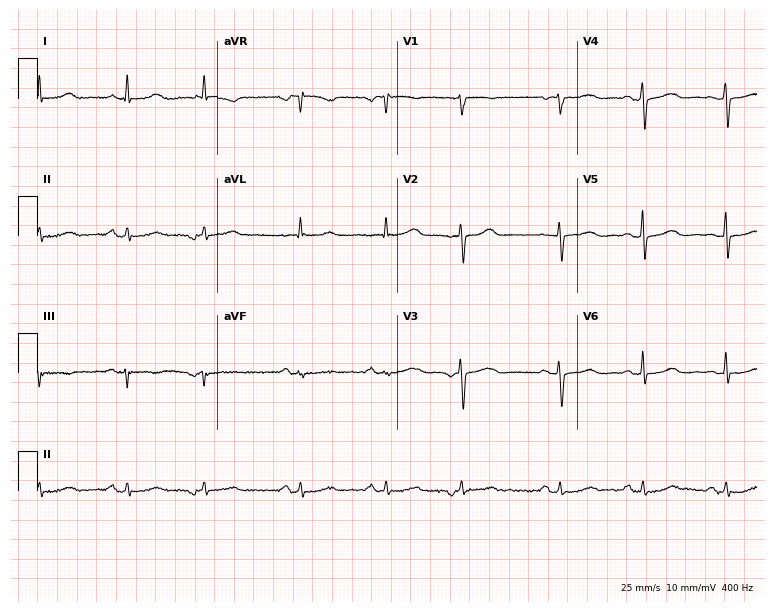
Standard 12-lead ECG recorded from a 69-year-old female patient (7.3-second recording at 400 Hz). None of these six findings is recorded: first-degree AV block, right bundle branch block, left bundle branch block, sinus bradycardia, atrial fibrillation, sinus tachycardia.